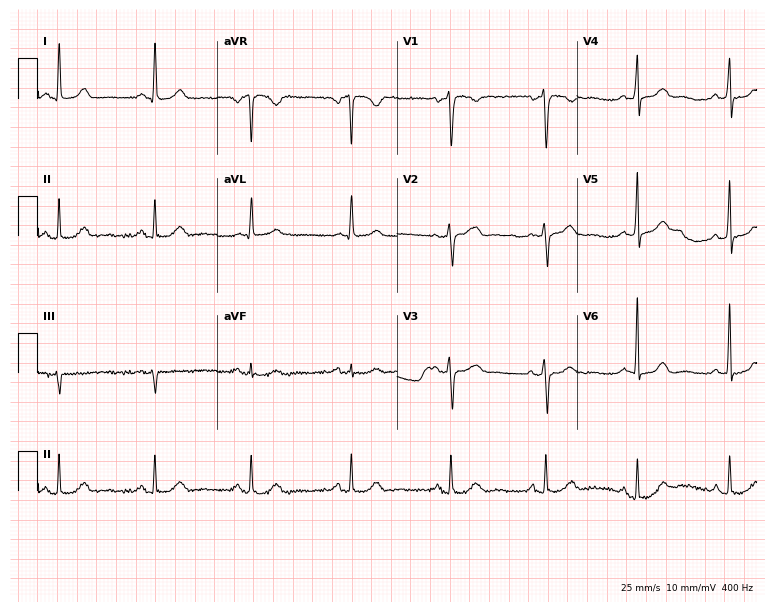
Standard 12-lead ECG recorded from a 52-year-old female. Read as a normal ECG.